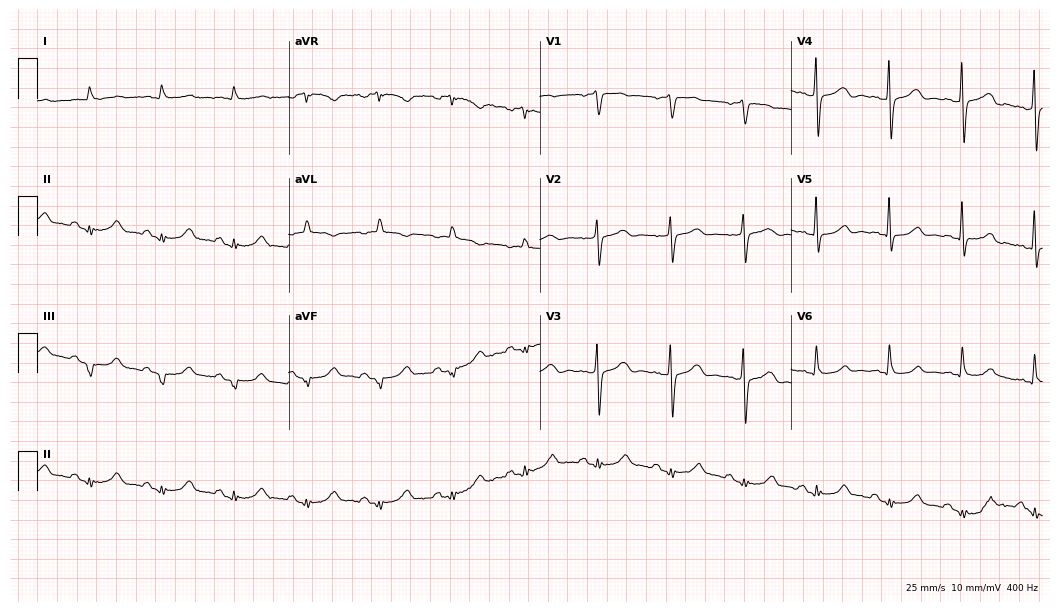
12-lead ECG (10.2-second recording at 400 Hz) from a male patient, 85 years old. Screened for six findings — first-degree AV block, right bundle branch block (RBBB), left bundle branch block (LBBB), sinus bradycardia, atrial fibrillation (AF), sinus tachycardia — none is recorded.